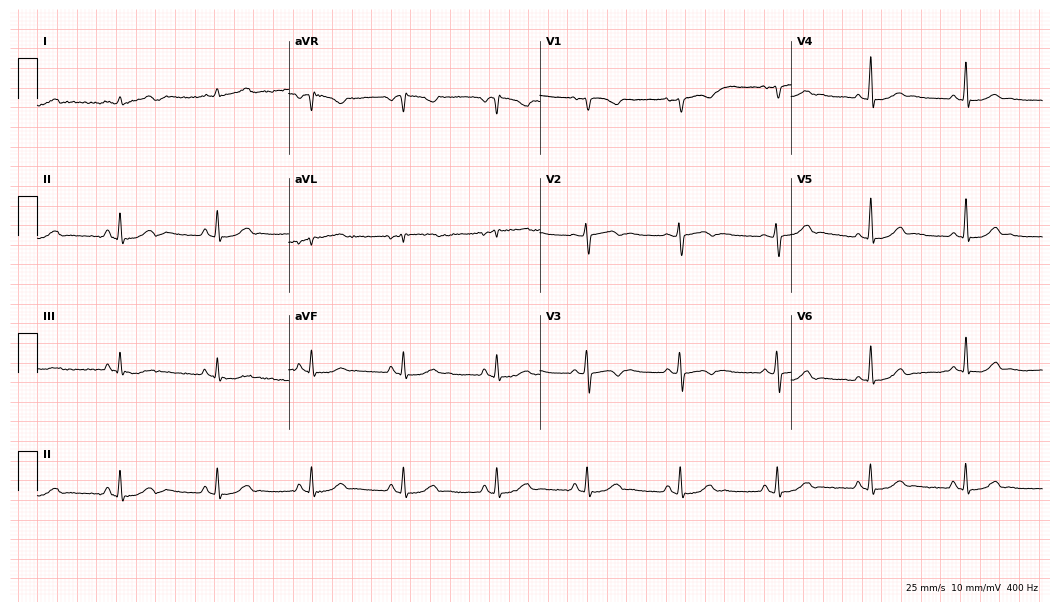
Electrocardiogram, a 39-year-old female patient. Of the six screened findings (first-degree AV block, right bundle branch block, left bundle branch block, sinus bradycardia, atrial fibrillation, sinus tachycardia), none is recorded. Findings outside these six are not listed.